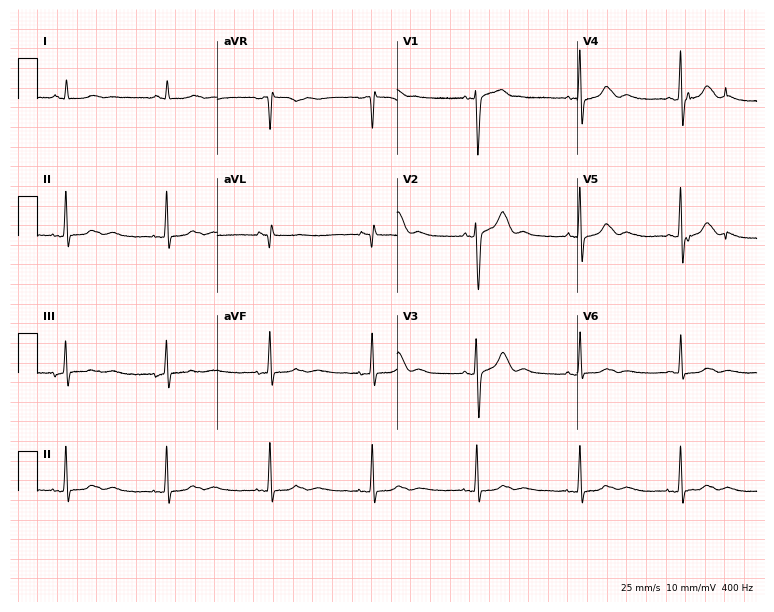
Resting 12-lead electrocardiogram (7.3-second recording at 400 Hz). Patient: a 68-year-old woman. None of these six findings is recorded: first-degree AV block, right bundle branch block, left bundle branch block, sinus bradycardia, atrial fibrillation, sinus tachycardia.